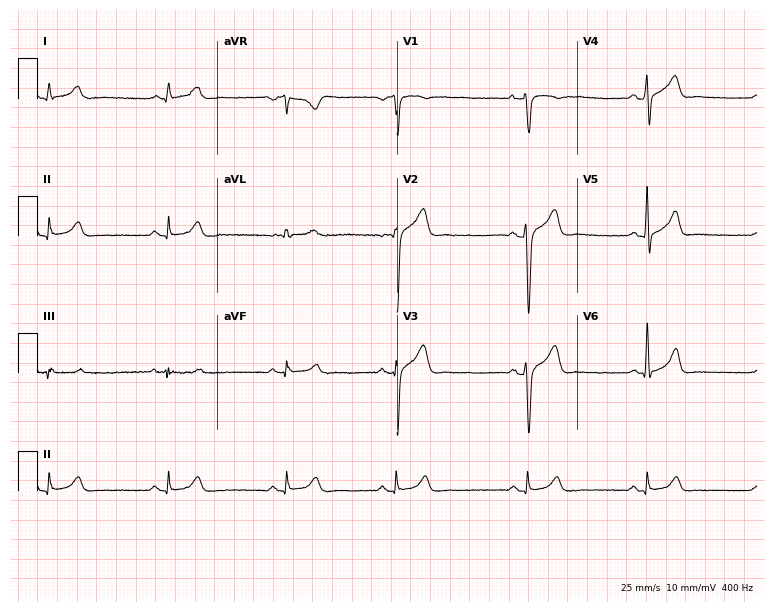
Electrocardiogram (7.3-second recording at 400 Hz), a man, 22 years old. Overall reading on record: normal ECG.